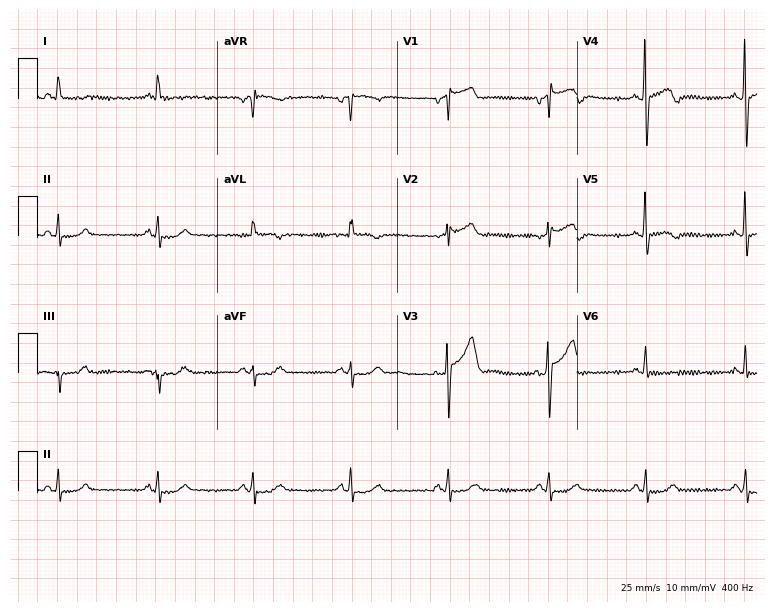
Standard 12-lead ECG recorded from a 63-year-old male. None of these six findings is recorded: first-degree AV block, right bundle branch block (RBBB), left bundle branch block (LBBB), sinus bradycardia, atrial fibrillation (AF), sinus tachycardia.